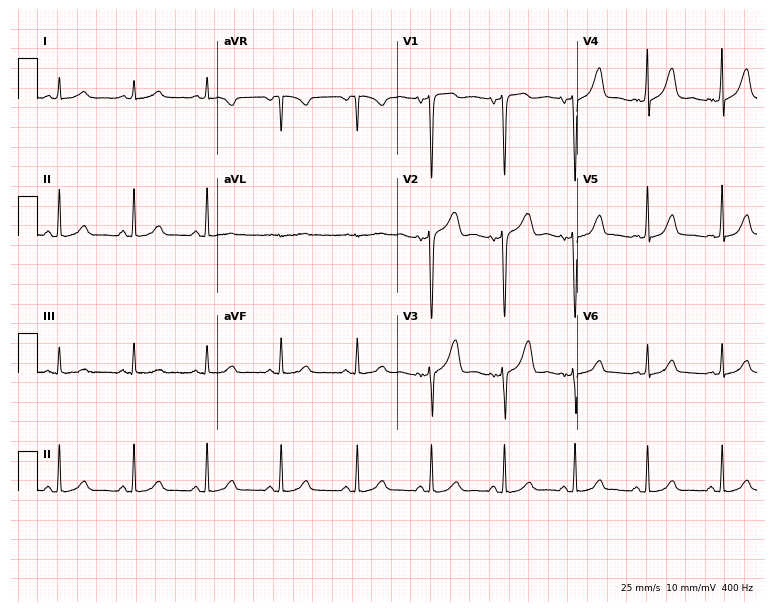
ECG — a 44-year-old female. Screened for six findings — first-degree AV block, right bundle branch block, left bundle branch block, sinus bradycardia, atrial fibrillation, sinus tachycardia — none is recorded.